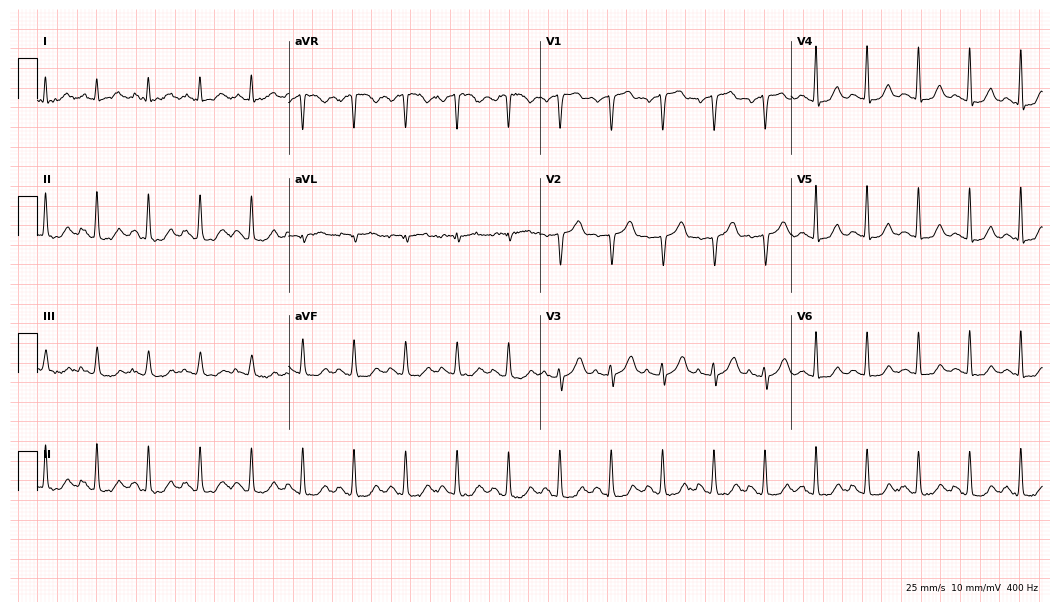
ECG (10.2-second recording at 400 Hz) — a woman, 68 years old. Findings include sinus tachycardia (a sinus rate of 100 beats per minute or more).